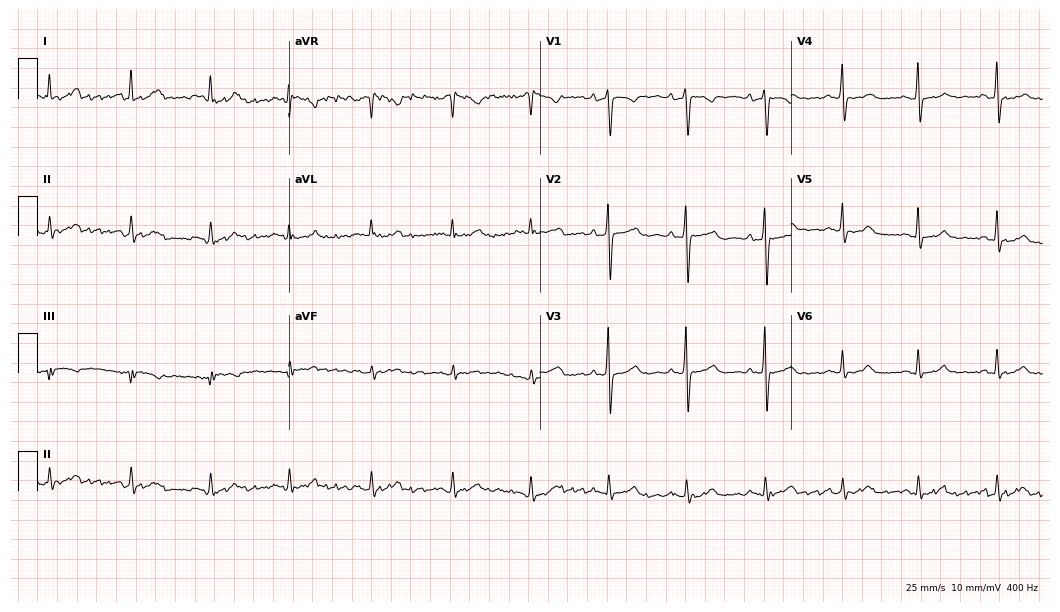
Standard 12-lead ECG recorded from a female patient, 44 years old (10.2-second recording at 400 Hz). None of these six findings is recorded: first-degree AV block, right bundle branch block (RBBB), left bundle branch block (LBBB), sinus bradycardia, atrial fibrillation (AF), sinus tachycardia. Findings outside these six are not listed.